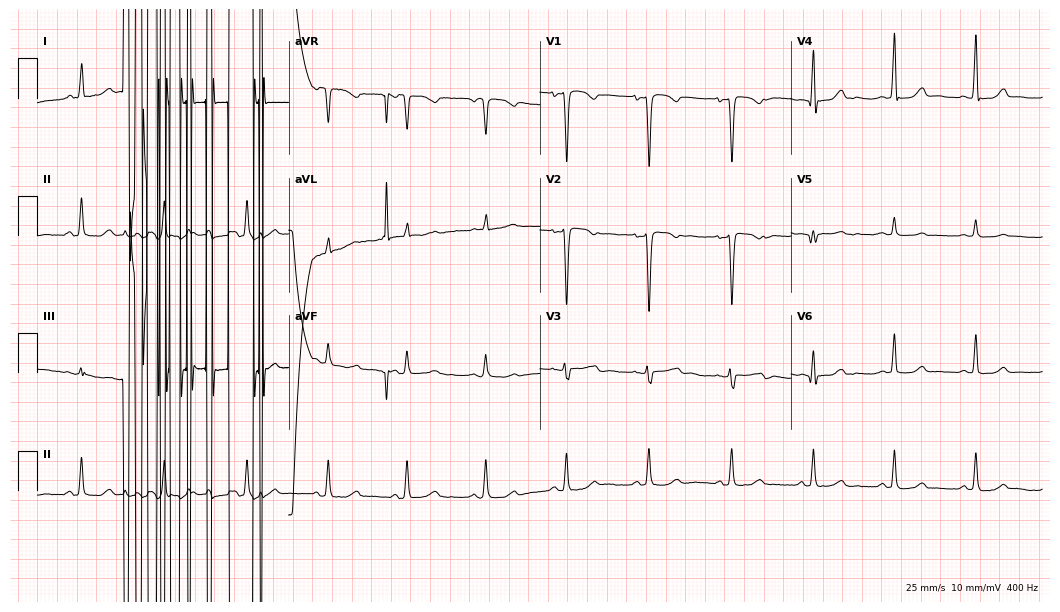
Resting 12-lead electrocardiogram. Patient: a 48-year-old female. None of these six findings is recorded: first-degree AV block, right bundle branch block, left bundle branch block, sinus bradycardia, atrial fibrillation, sinus tachycardia.